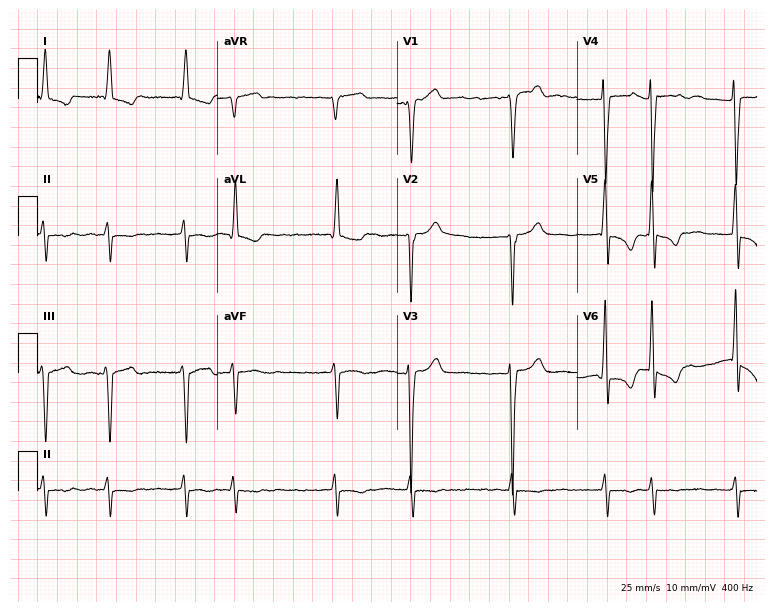
Standard 12-lead ECG recorded from a 75-year-old man. The tracing shows atrial fibrillation (AF).